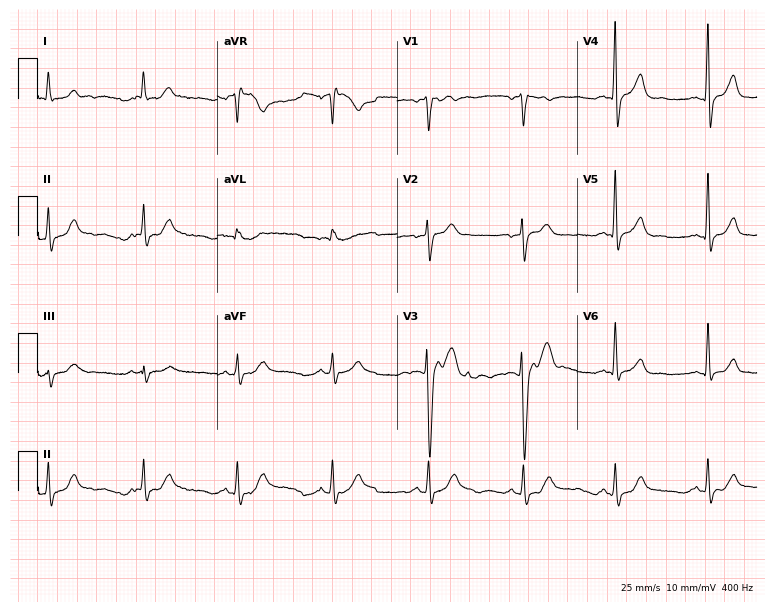
12-lead ECG from a male, 59 years old (7.3-second recording at 400 Hz). No first-degree AV block, right bundle branch block (RBBB), left bundle branch block (LBBB), sinus bradycardia, atrial fibrillation (AF) or sinus tachycardia recorded for this tracing.